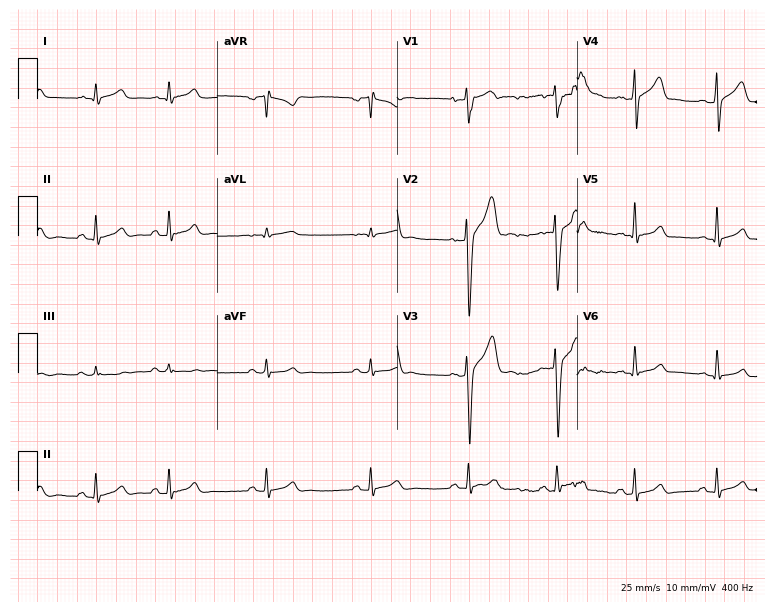
12-lead ECG from a 22-year-old man. No first-degree AV block, right bundle branch block, left bundle branch block, sinus bradycardia, atrial fibrillation or sinus tachycardia recorded for this tracing.